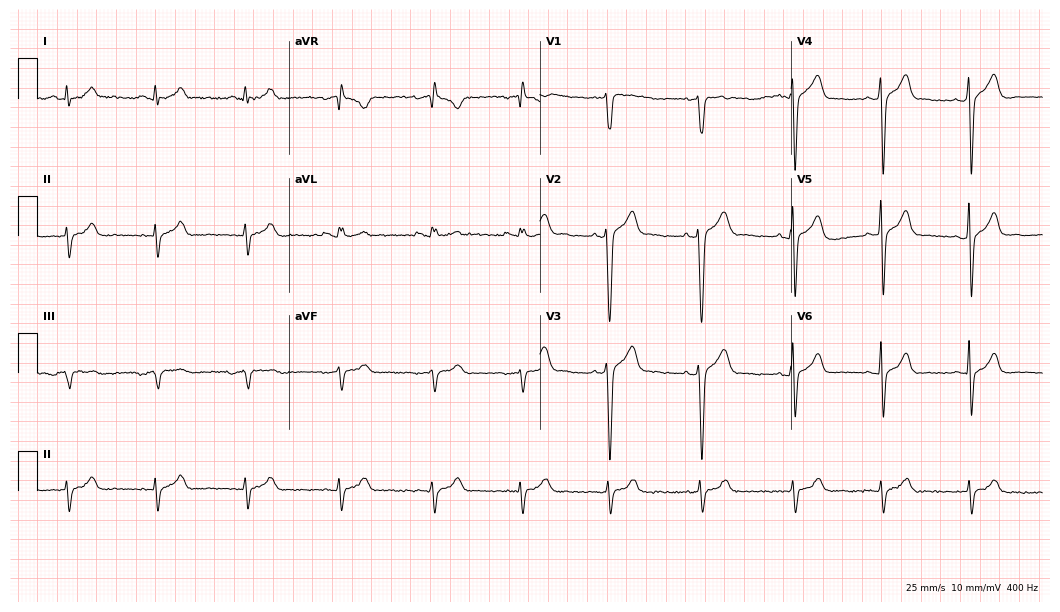
ECG — a man, 30 years old. Screened for six findings — first-degree AV block, right bundle branch block (RBBB), left bundle branch block (LBBB), sinus bradycardia, atrial fibrillation (AF), sinus tachycardia — none is recorded. Only these six findings were labelled.